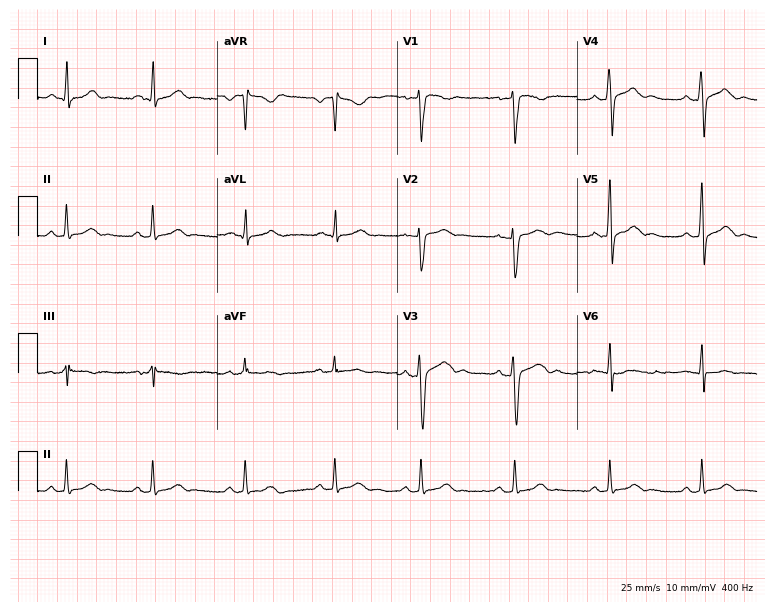
Electrocardiogram (7.3-second recording at 400 Hz), a 23-year-old male. Overall reading on record: normal ECG.